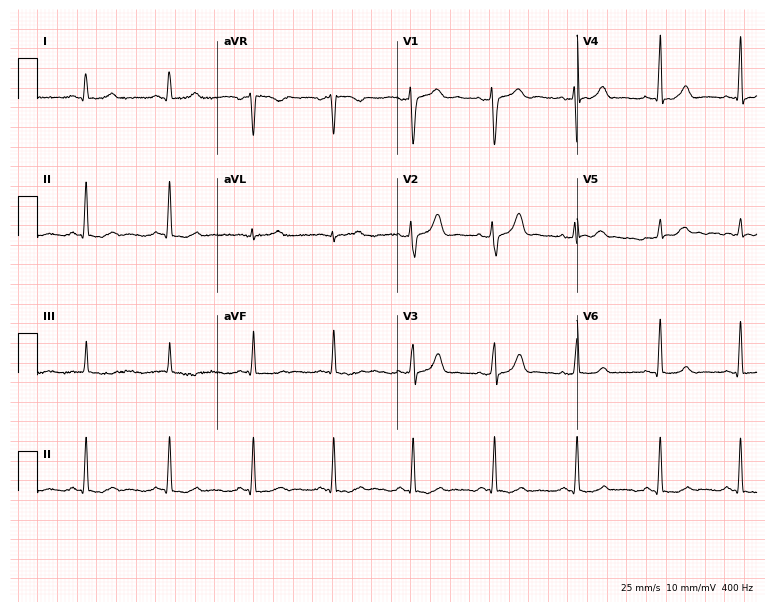
Standard 12-lead ECG recorded from a 35-year-old female patient (7.3-second recording at 400 Hz). None of these six findings is recorded: first-degree AV block, right bundle branch block, left bundle branch block, sinus bradycardia, atrial fibrillation, sinus tachycardia.